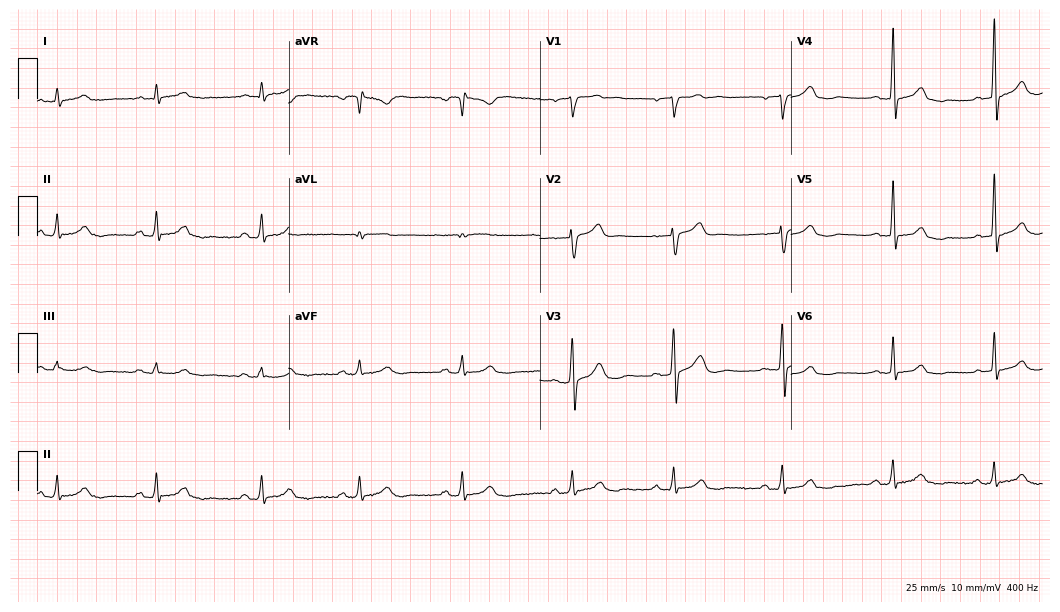
12-lead ECG from a 44-year-old man. Recorded interpretation: within normal limits.